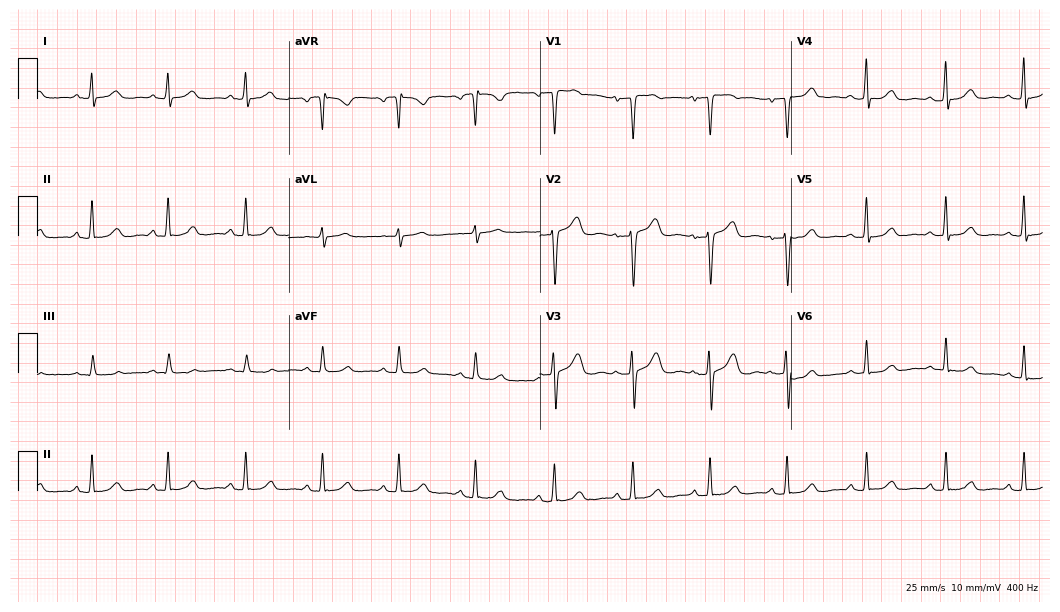
ECG (10.2-second recording at 400 Hz) — a woman, 49 years old. Labelled as a normal ECG.